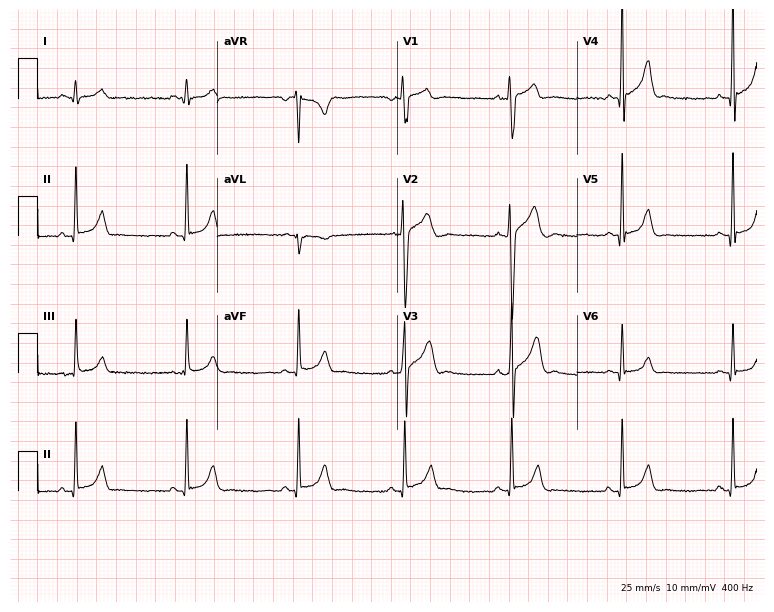
Resting 12-lead electrocardiogram. Patient: a 24-year-old man. None of these six findings is recorded: first-degree AV block, right bundle branch block (RBBB), left bundle branch block (LBBB), sinus bradycardia, atrial fibrillation (AF), sinus tachycardia.